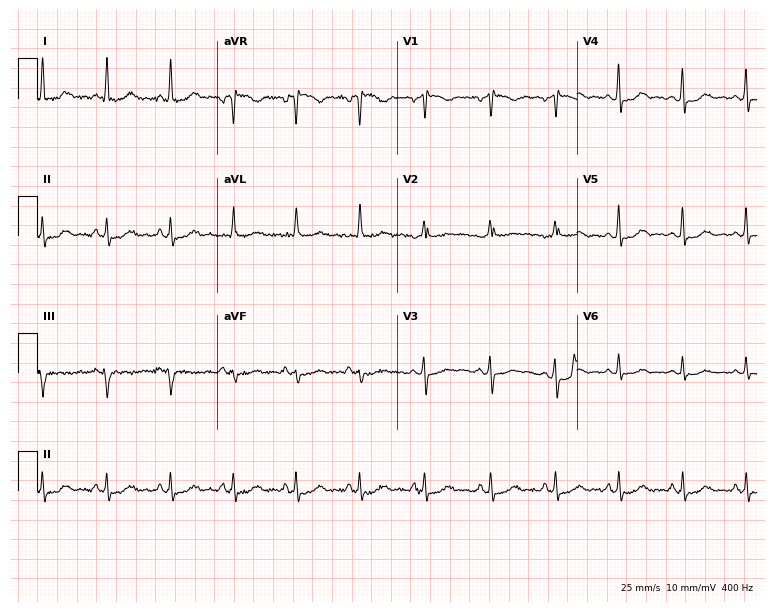
ECG (7.3-second recording at 400 Hz) — a 45-year-old female. Screened for six findings — first-degree AV block, right bundle branch block, left bundle branch block, sinus bradycardia, atrial fibrillation, sinus tachycardia — none is recorded.